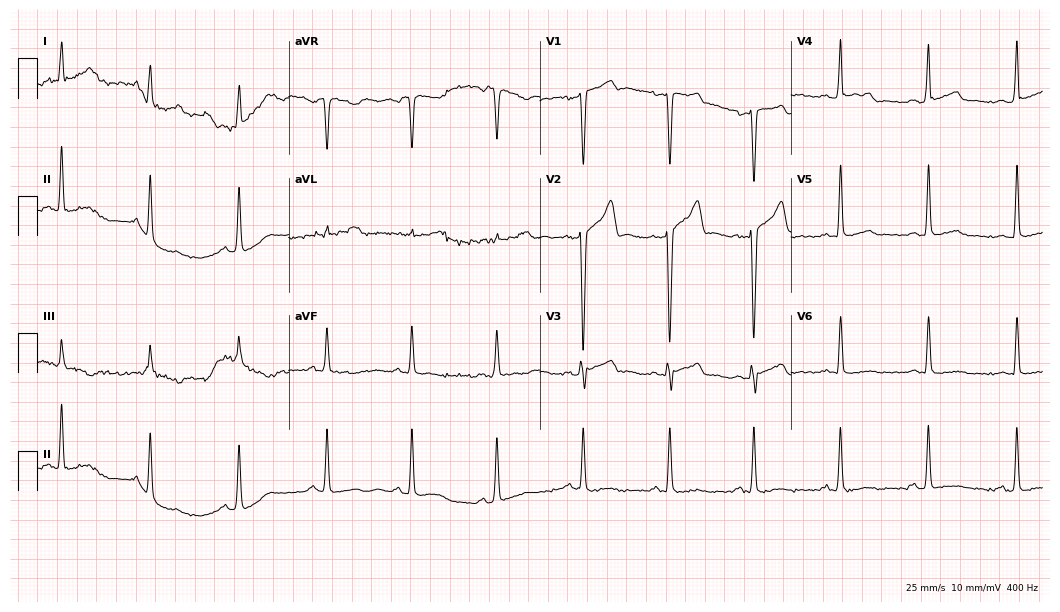
Resting 12-lead electrocardiogram. Patient: a male, 37 years old. None of these six findings is recorded: first-degree AV block, right bundle branch block, left bundle branch block, sinus bradycardia, atrial fibrillation, sinus tachycardia.